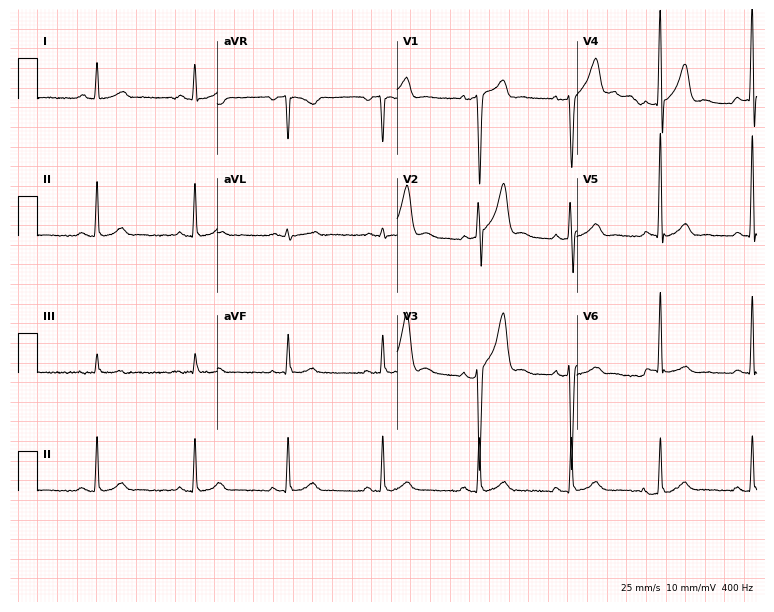
Standard 12-lead ECG recorded from a 36-year-old male patient (7.3-second recording at 400 Hz). None of these six findings is recorded: first-degree AV block, right bundle branch block, left bundle branch block, sinus bradycardia, atrial fibrillation, sinus tachycardia.